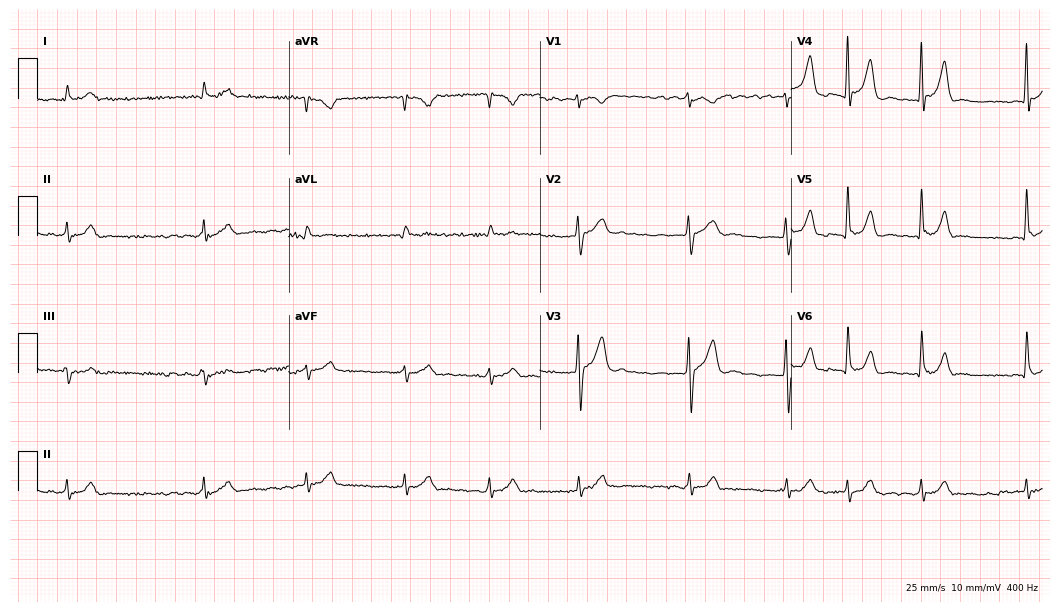
12-lead ECG from a male patient, 81 years old (10.2-second recording at 400 Hz). Shows atrial fibrillation (AF).